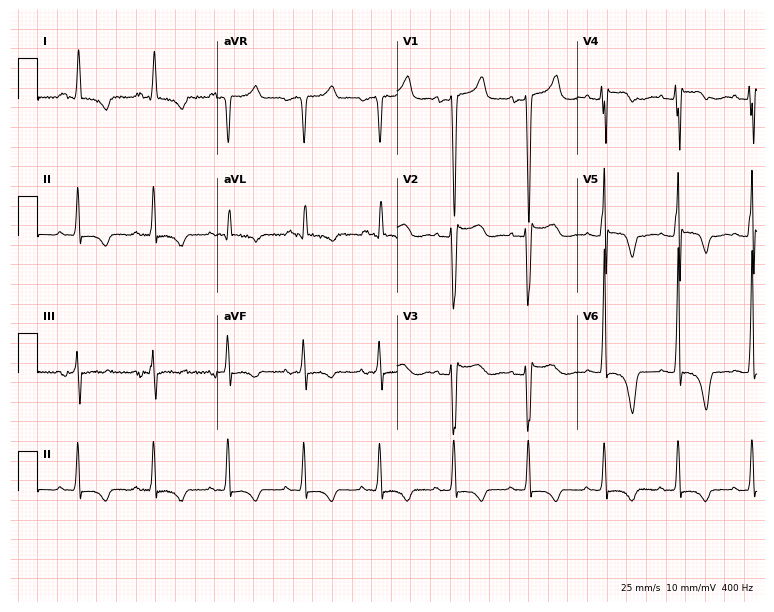
Electrocardiogram (7.3-second recording at 400 Hz), a 59-year-old male patient. Of the six screened findings (first-degree AV block, right bundle branch block, left bundle branch block, sinus bradycardia, atrial fibrillation, sinus tachycardia), none is recorded.